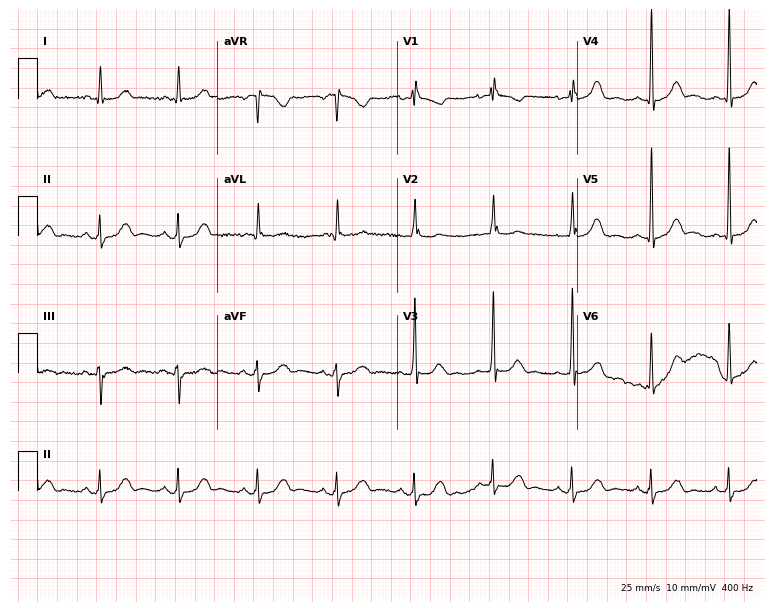
Standard 12-lead ECG recorded from a female patient, 88 years old. Read as a normal ECG.